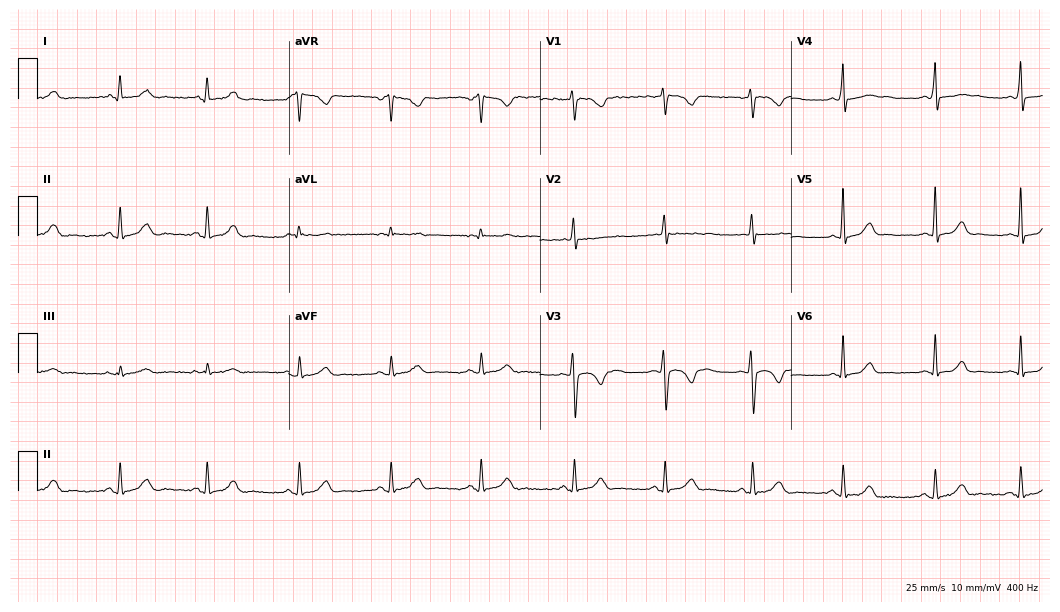
12-lead ECG from a woman, 24 years old. Recorded interpretation: within normal limits.